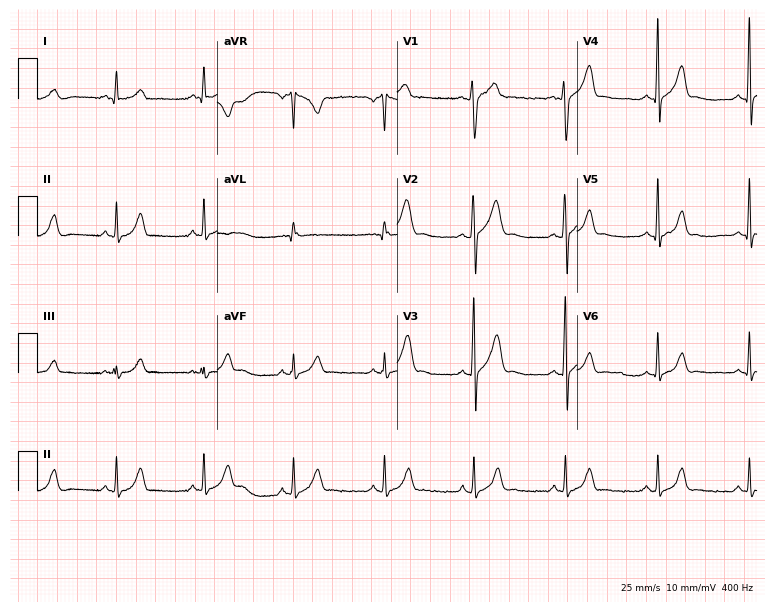
12-lead ECG from a 26-year-old male patient (7.3-second recording at 400 Hz). No first-degree AV block, right bundle branch block, left bundle branch block, sinus bradycardia, atrial fibrillation or sinus tachycardia recorded for this tracing. Findings outside these six are not listed.